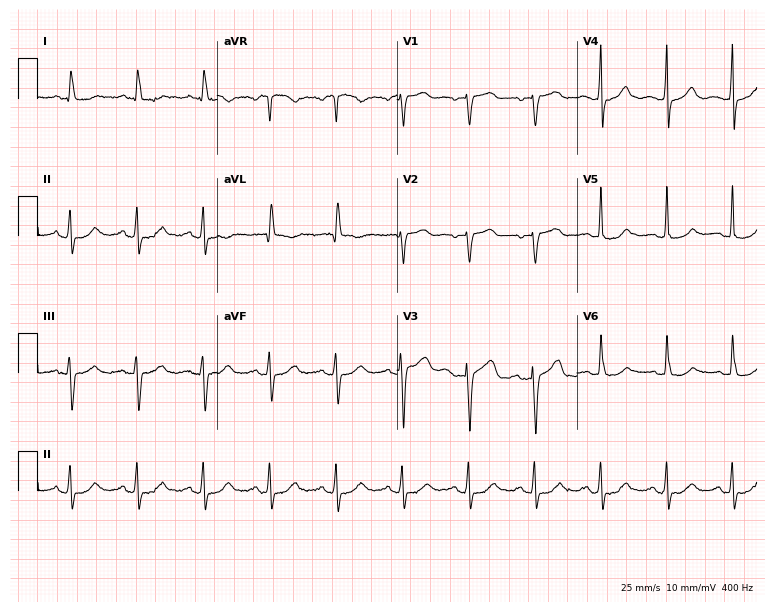
ECG (7.3-second recording at 400 Hz) — a female patient, 71 years old. Labelled as a normal ECG.